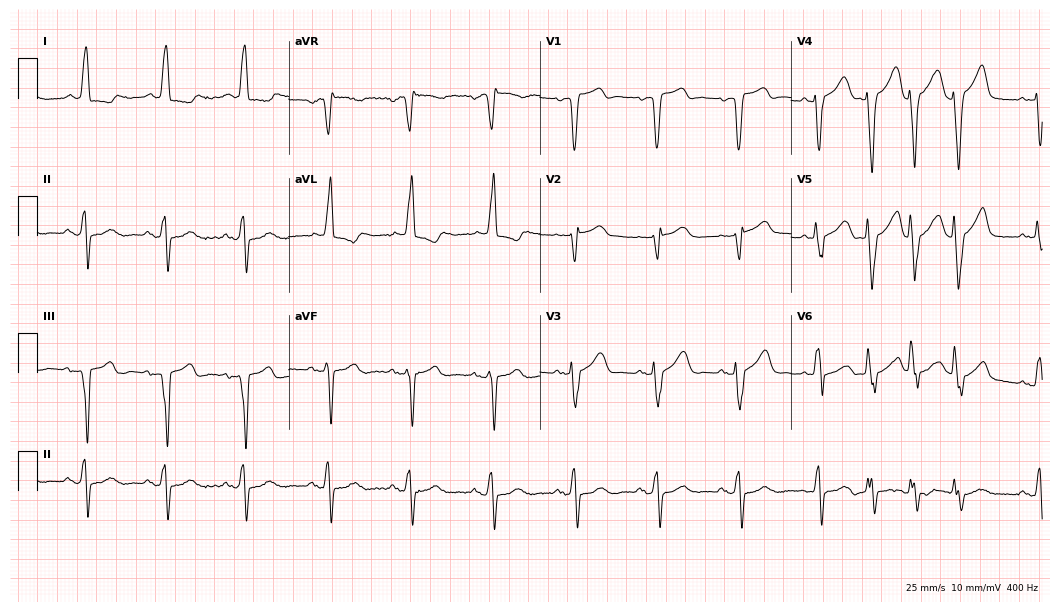
Electrocardiogram, a male, 80 years old. Of the six screened findings (first-degree AV block, right bundle branch block, left bundle branch block, sinus bradycardia, atrial fibrillation, sinus tachycardia), none is recorded.